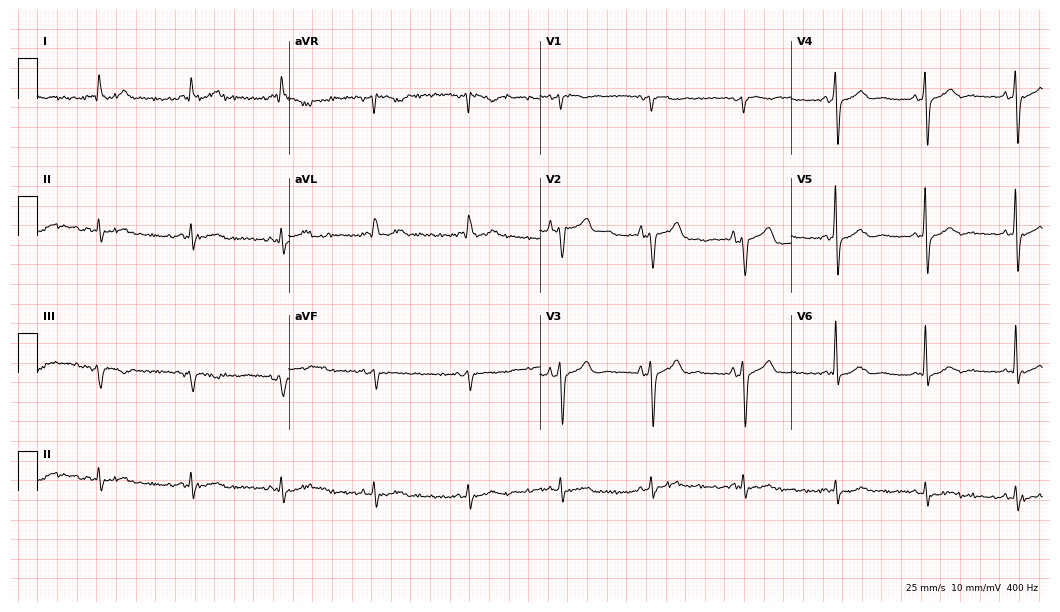
Resting 12-lead electrocardiogram (10.2-second recording at 400 Hz). Patient: a male, 83 years old. None of these six findings is recorded: first-degree AV block, right bundle branch block, left bundle branch block, sinus bradycardia, atrial fibrillation, sinus tachycardia. Only these six findings were labelled.